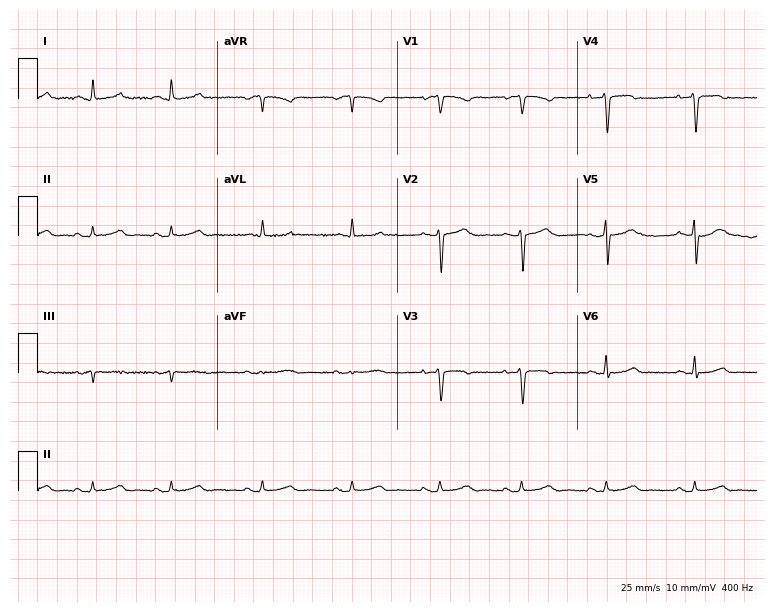
12-lead ECG (7.3-second recording at 400 Hz) from a 38-year-old female patient. Screened for six findings — first-degree AV block, right bundle branch block, left bundle branch block, sinus bradycardia, atrial fibrillation, sinus tachycardia — none is recorded. Findings outside these six are not listed.